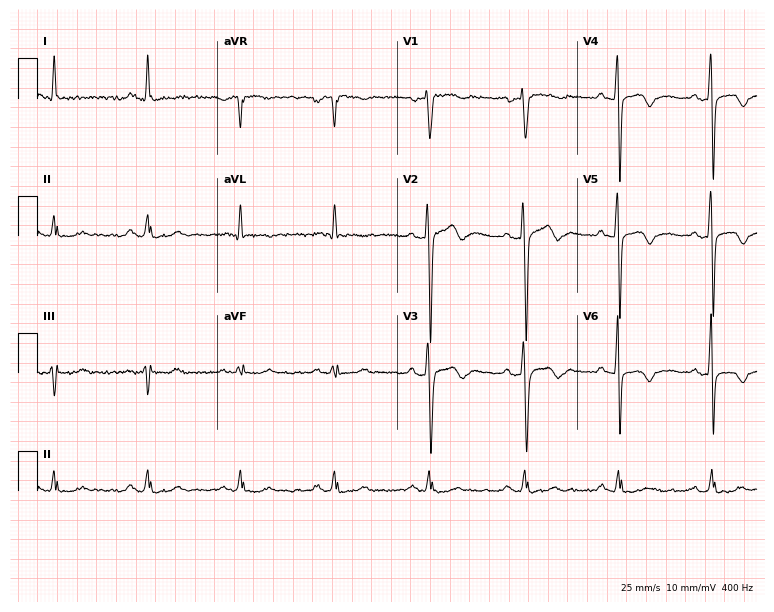
ECG — a 70-year-old male patient. Screened for six findings — first-degree AV block, right bundle branch block (RBBB), left bundle branch block (LBBB), sinus bradycardia, atrial fibrillation (AF), sinus tachycardia — none is recorded. Other findings, if any, are not listed.